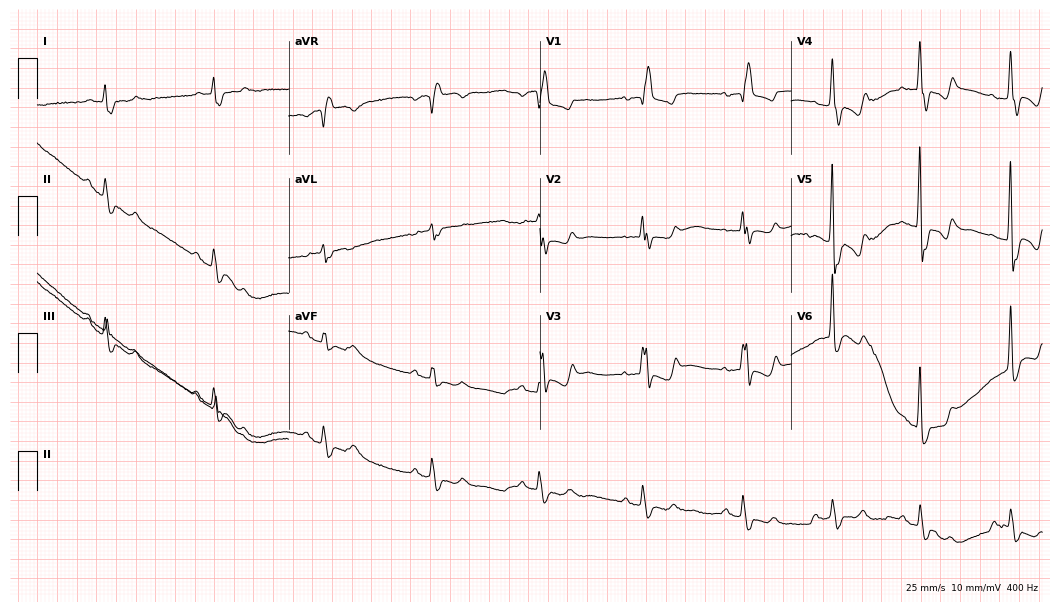
12-lead ECG from an 82-year-old male. Findings include right bundle branch block.